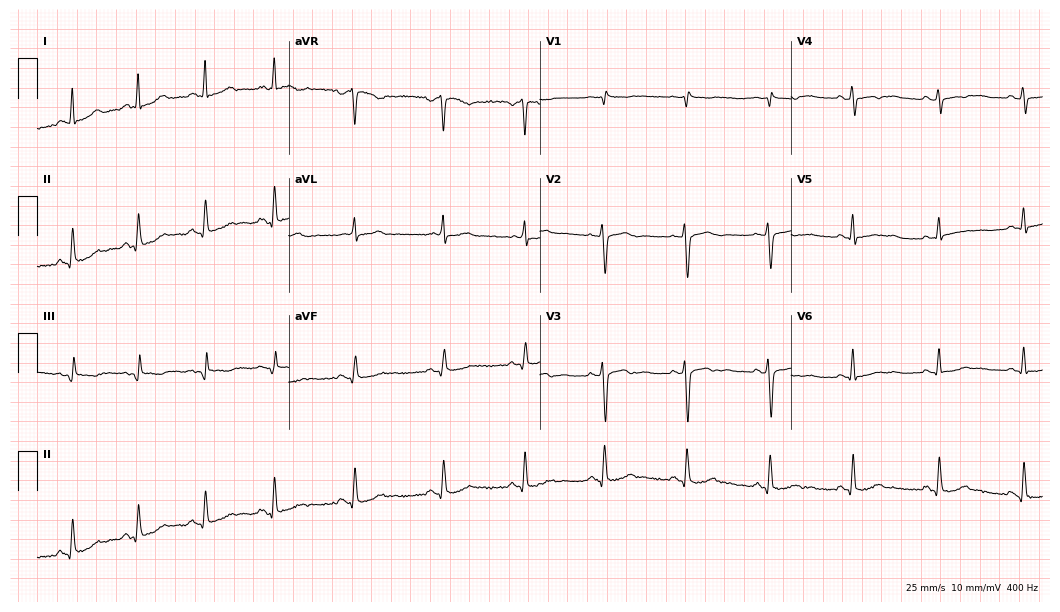
12-lead ECG from a woman, 33 years old. Recorded interpretation: within normal limits.